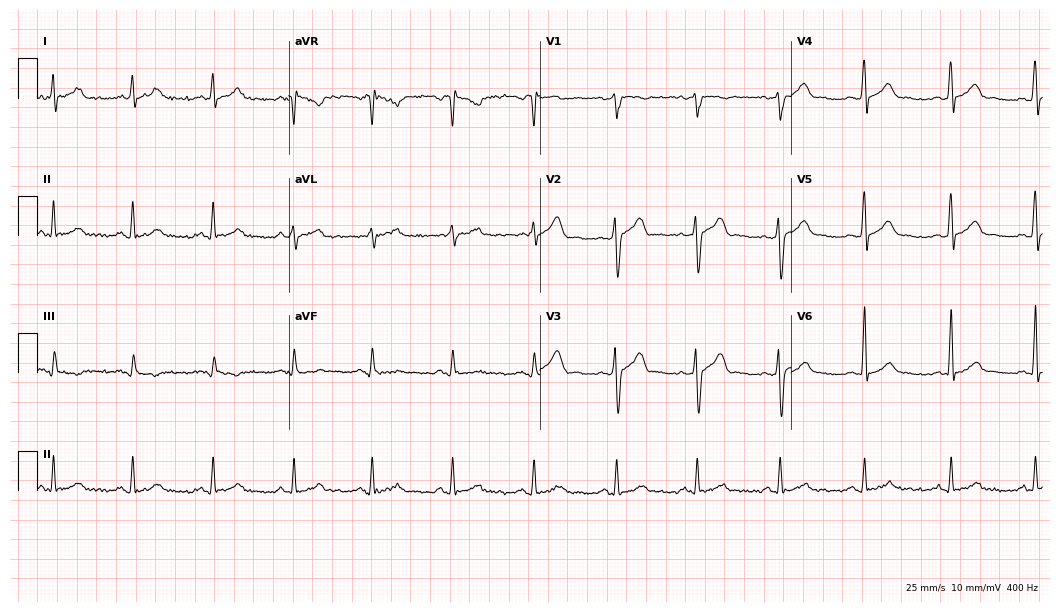
Resting 12-lead electrocardiogram. Patient: a man, 34 years old. None of these six findings is recorded: first-degree AV block, right bundle branch block, left bundle branch block, sinus bradycardia, atrial fibrillation, sinus tachycardia. Other findings, if any, are not listed.